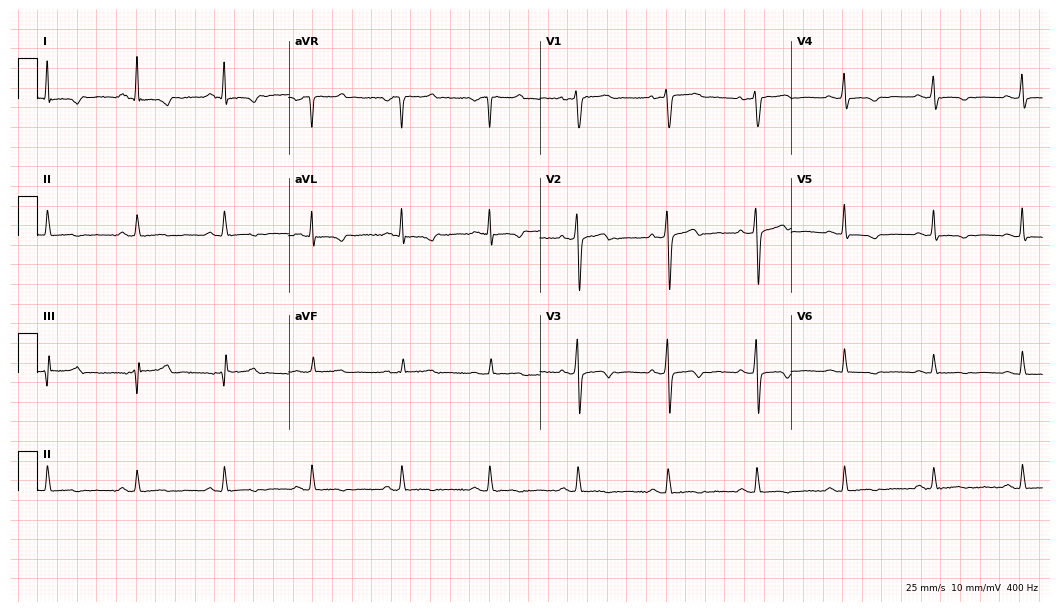
ECG (10.2-second recording at 400 Hz) — a female, 48 years old. Screened for six findings — first-degree AV block, right bundle branch block, left bundle branch block, sinus bradycardia, atrial fibrillation, sinus tachycardia — none is recorded. Other findings, if any, are not listed.